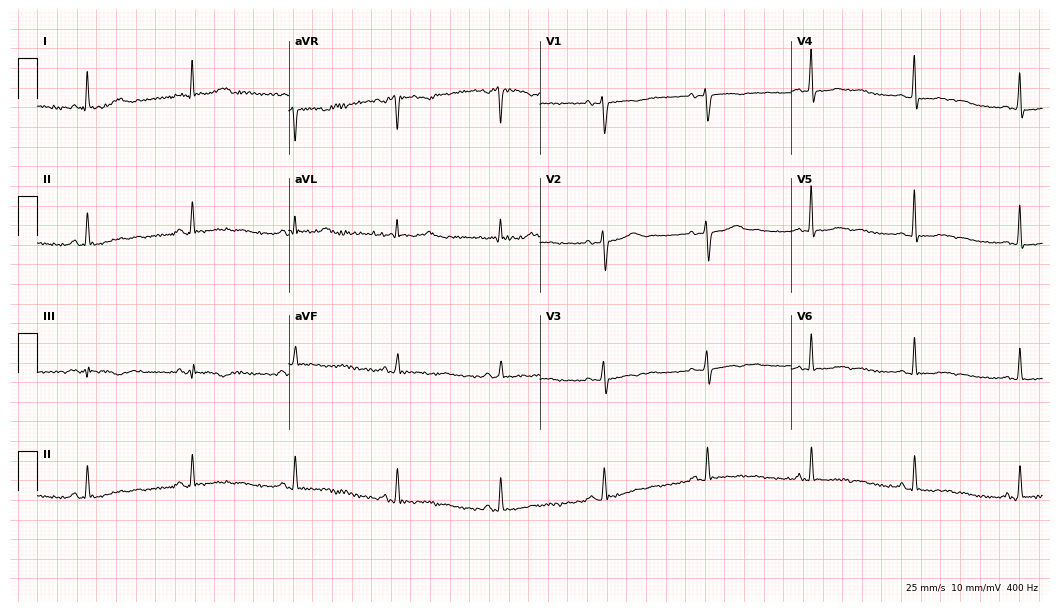
Standard 12-lead ECG recorded from a female, 59 years old. None of these six findings is recorded: first-degree AV block, right bundle branch block, left bundle branch block, sinus bradycardia, atrial fibrillation, sinus tachycardia.